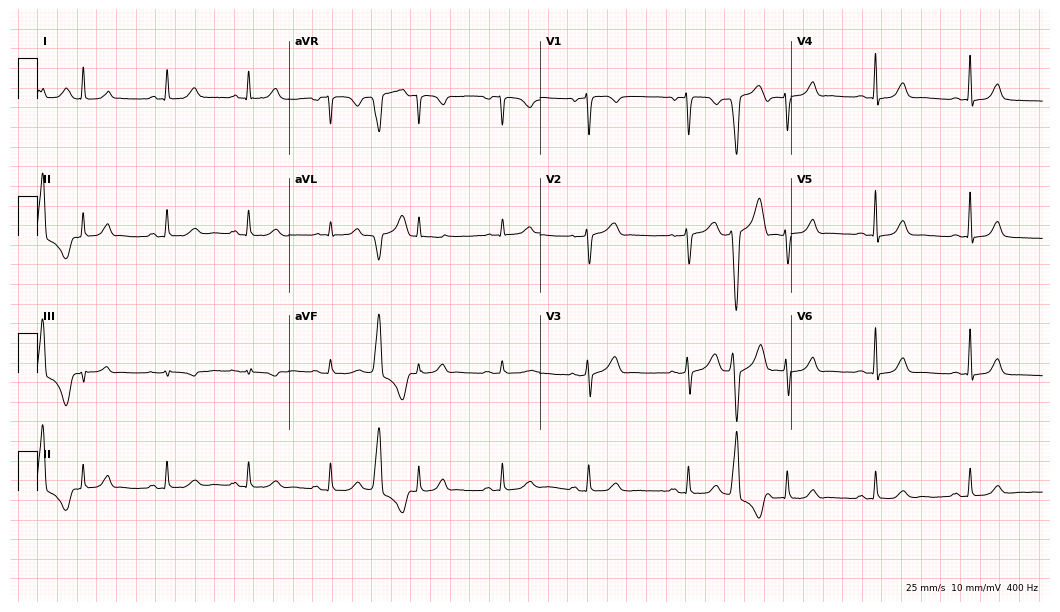
12-lead ECG from a woman, 54 years old. No first-degree AV block, right bundle branch block (RBBB), left bundle branch block (LBBB), sinus bradycardia, atrial fibrillation (AF) or sinus tachycardia recorded for this tracing. Findings outside these six are not listed.